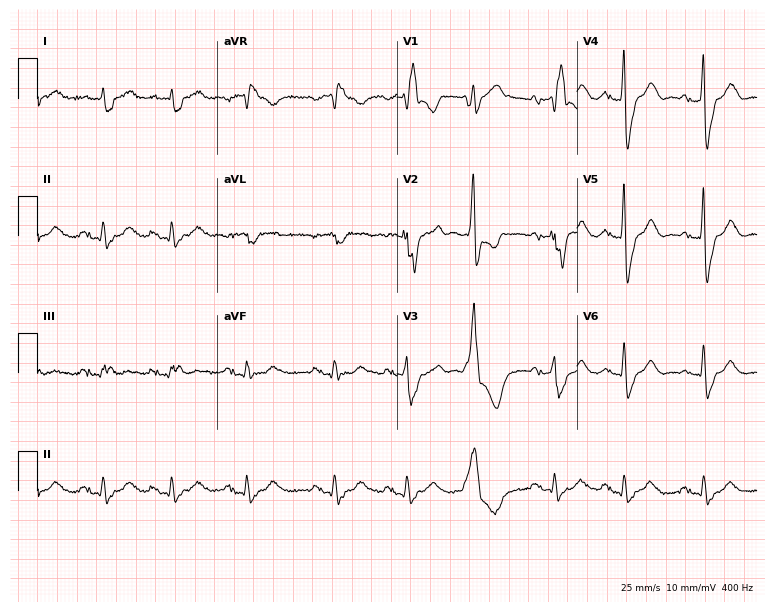
12-lead ECG from a male patient, 85 years old. Shows right bundle branch block (RBBB).